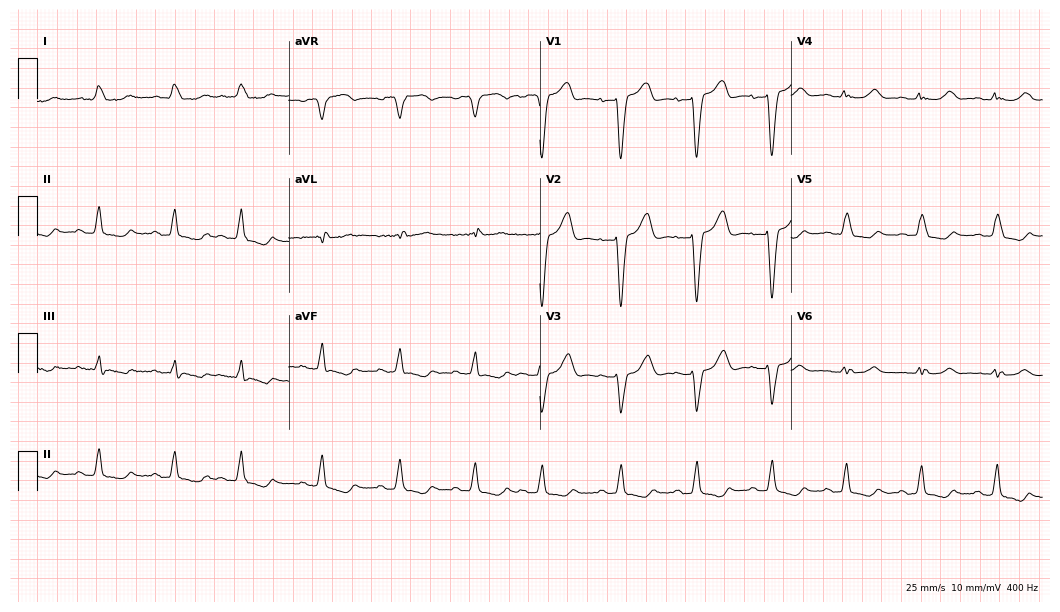
Standard 12-lead ECG recorded from a female patient, 83 years old (10.2-second recording at 400 Hz). The tracing shows left bundle branch block (LBBB).